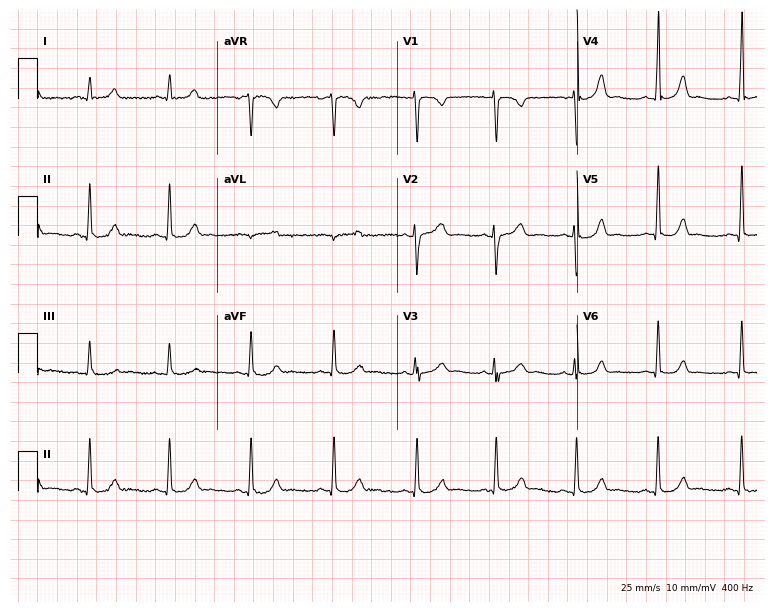
Electrocardiogram, a female, 32 years old. Overall reading on record: normal ECG.